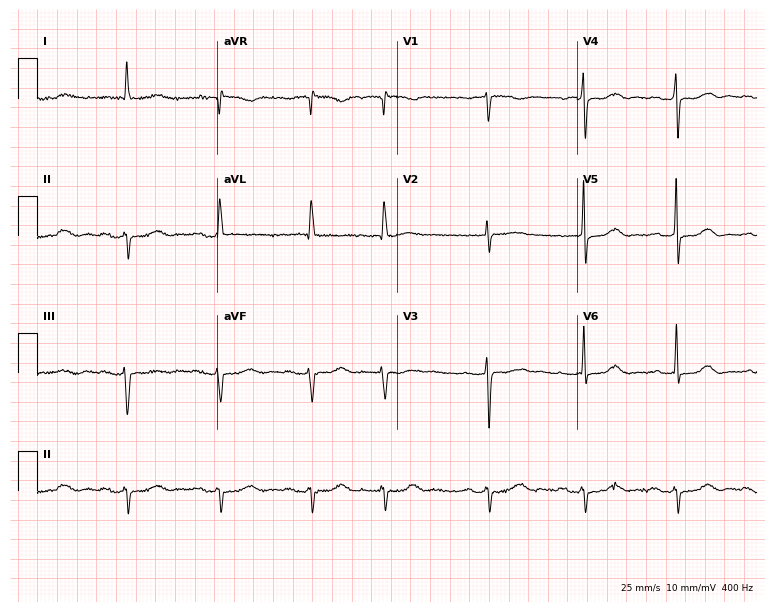
12-lead ECG from a female patient, 79 years old. Shows first-degree AV block.